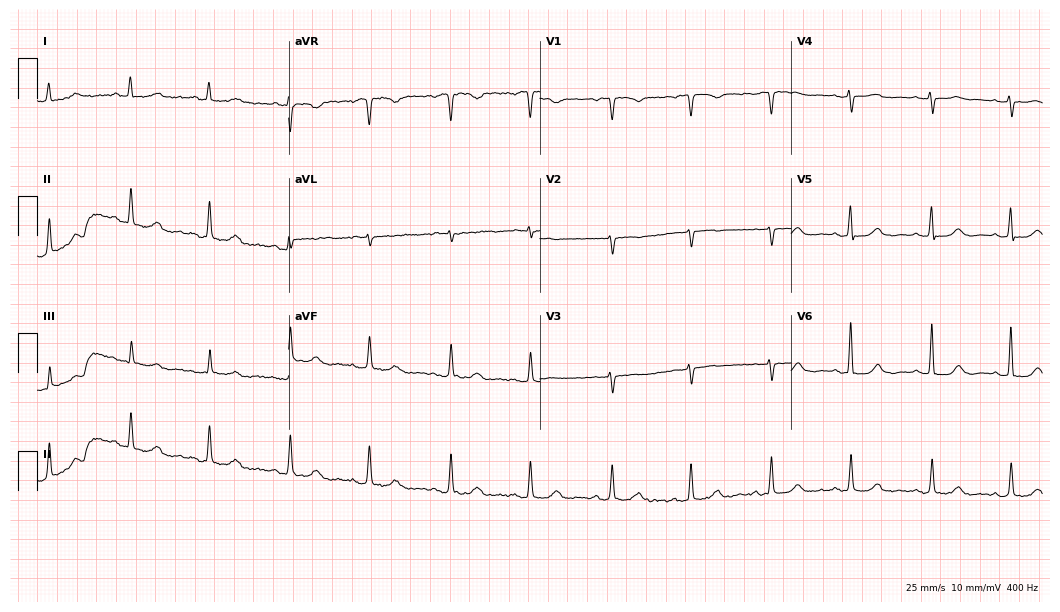
Electrocardiogram (10.2-second recording at 400 Hz), a female, 80 years old. Of the six screened findings (first-degree AV block, right bundle branch block (RBBB), left bundle branch block (LBBB), sinus bradycardia, atrial fibrillation (AF), sinus tachycardia), none is recorded. Findings outside these six are not listed.